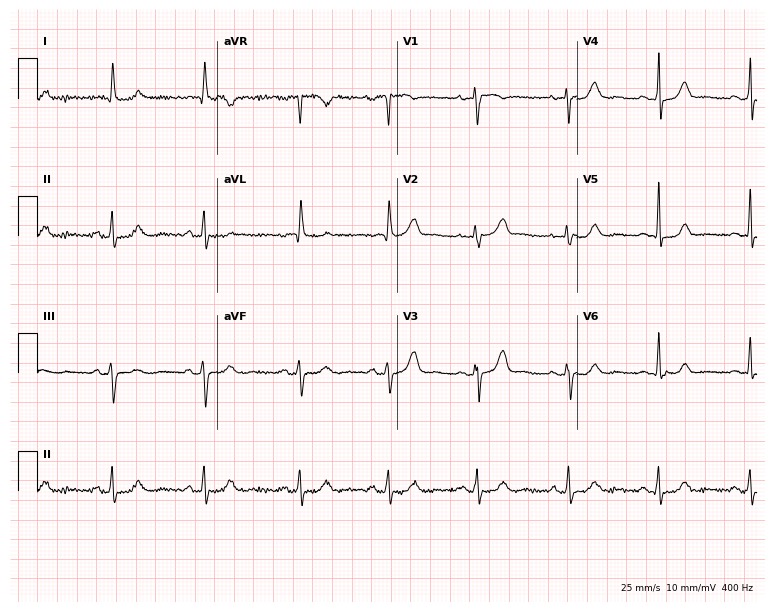
Standard 12-lead ECG recorded from a female, 72 years old (7.3-second recording at 400 Hz). None of these six findings is recorded: first-degree AV block, right bundle branch block, left bundle branch block, sinus bradycardia, atrial fibrillation, sinus tachycardia. Findings outside these six are not listed.